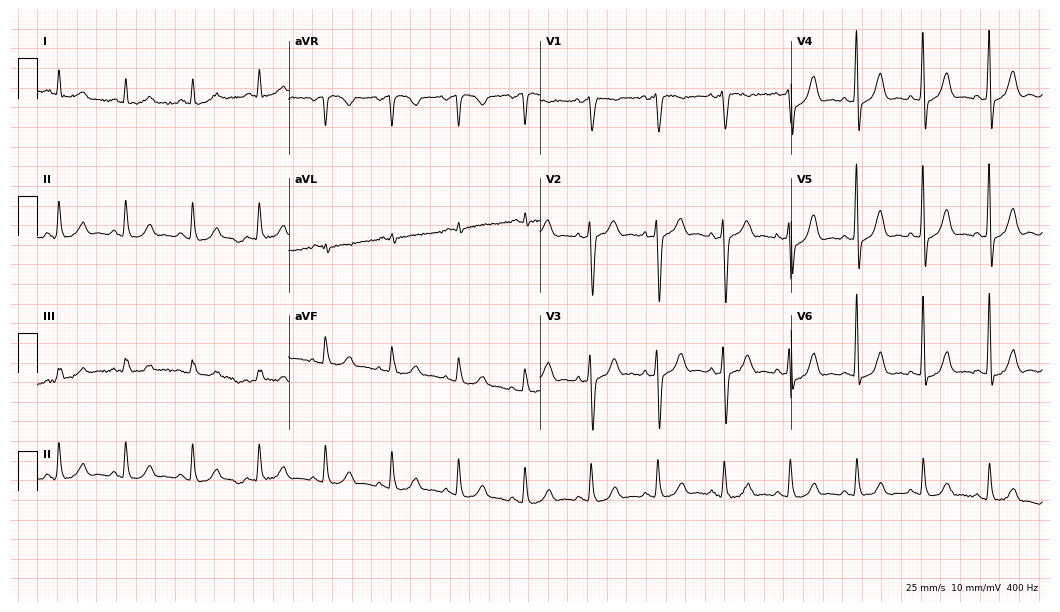
12-lead ECG (10.2-second recording at 400 Hz) from a man, 82 years old. Labelled as a normal ECG.